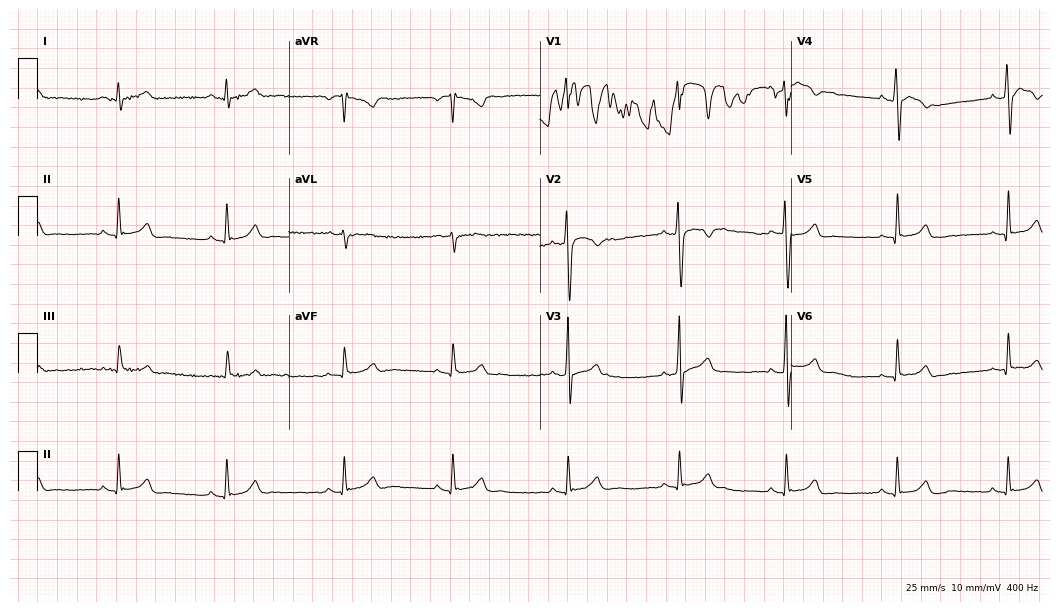
Resting 12-lead electrocardiogram. Patient: a male, 22 years old. None of these six findings is recorded: first-degree AV block, right bundle branch block, left bundle branch block, sinus bradycardia, atrial fibrillation, sinus tachycardia. Other findings, if any, are not listed.